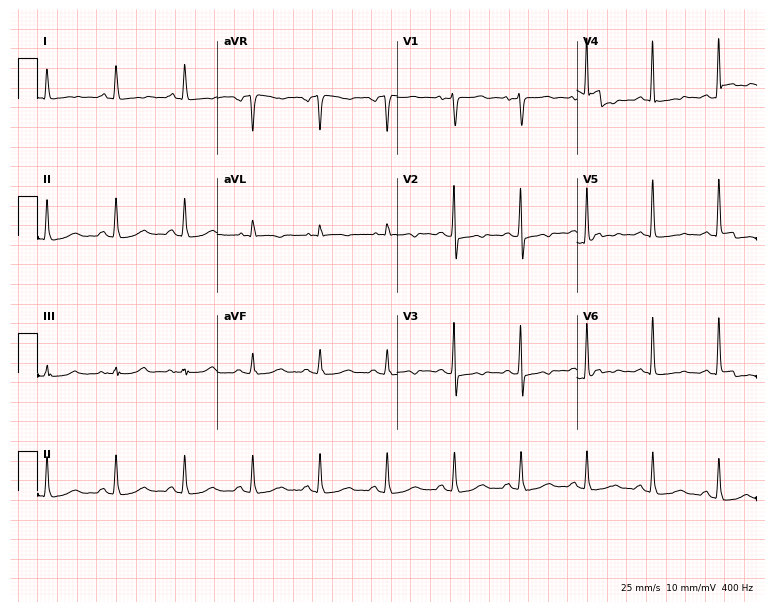
12-lead ECG from a female, 58 years old. Screened for six findings — first-degree AV block, right bundle branch block, left bundle branch block, sinus bradycardia, atrial fibrillation, sinus tachycardia — none is recorded. Findings outside these six are not listed.